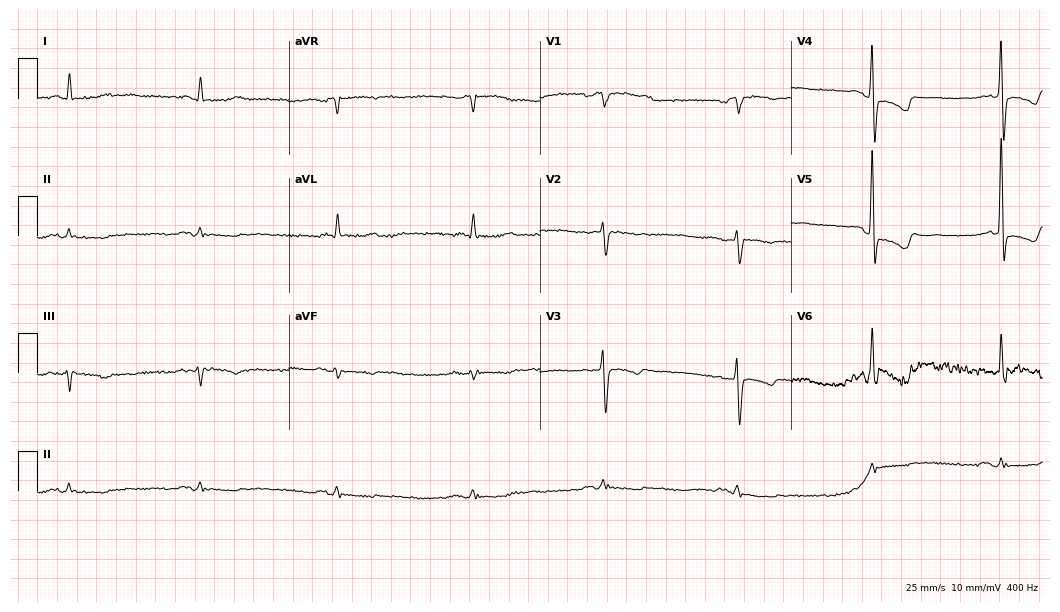
12-lead ECG from a male, 72 years old. Shows sinus bradycardia (a sinus rate of 50 beats per minute or less).